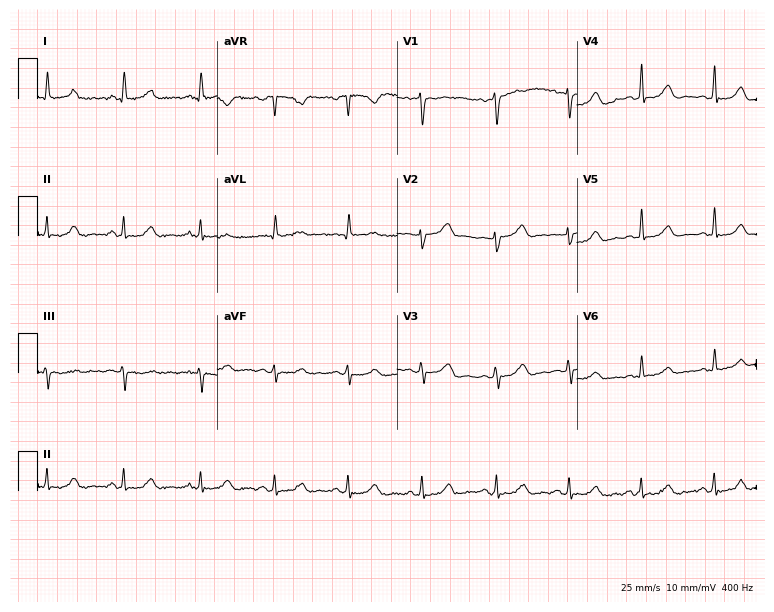
Resting 12-lead electrocardiogram (7.3-second recording at 400 Hz). Patient: a 41-year-old woman. None of these six findings is recorded: first-degree AV block, right bundle branch block, left bundle branch block, sinus bradycardia, atrial fibrillation, sinus tachycardia.